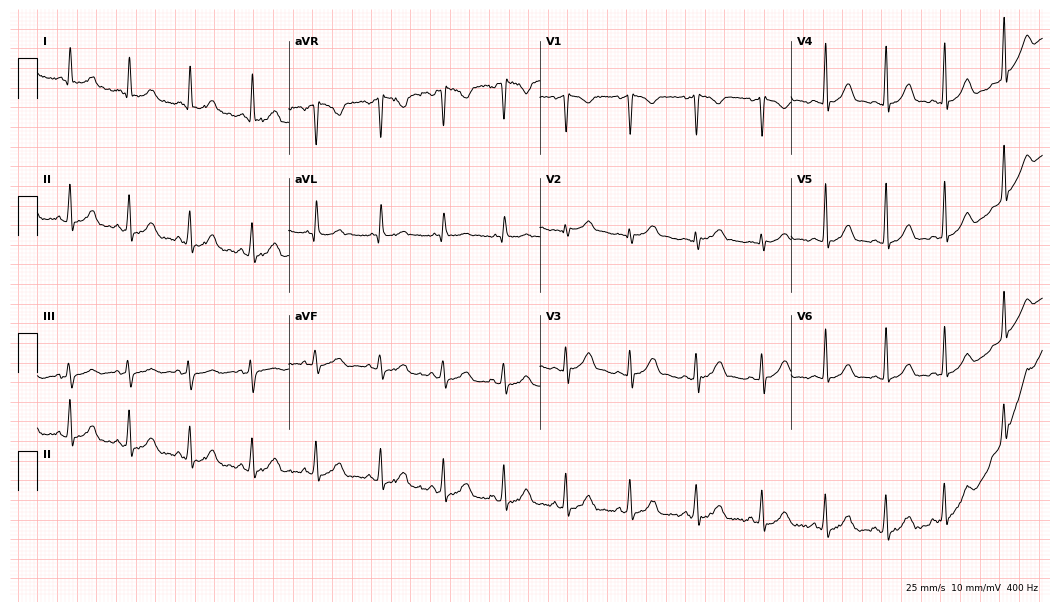
12-lead ECG from a female patient, 29 years old. Recorded interpretation: within normal limits.